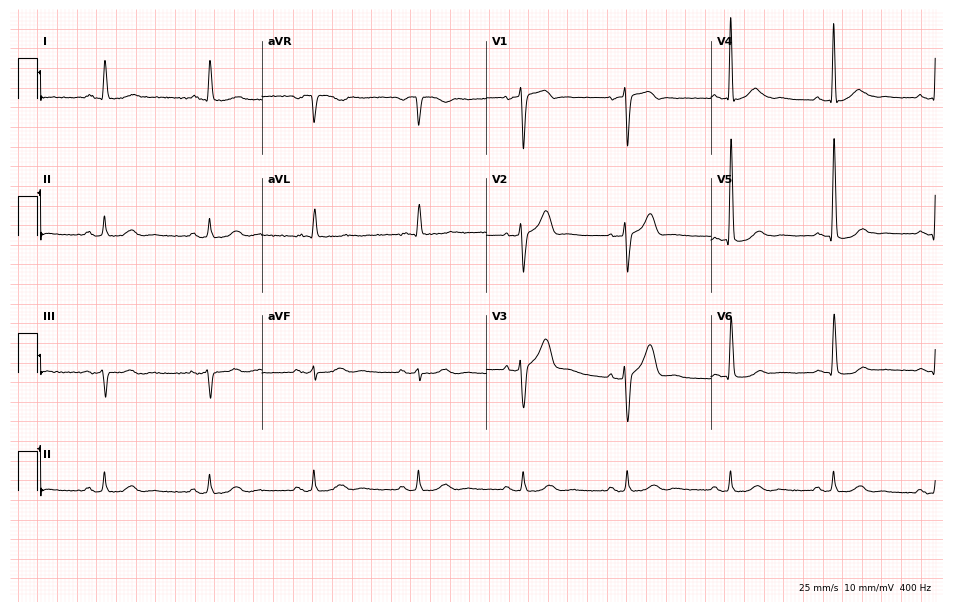
12-lead ECG from a 71-year-old male patient. No first-degree AV block, right bundle branch block (RBBB), left bundle branch block (LBBB), sinus bradycardia, atrial fibrillation (AF) or sinus tachycardia recorded for this tracing. Other findings, if any, are not listed.